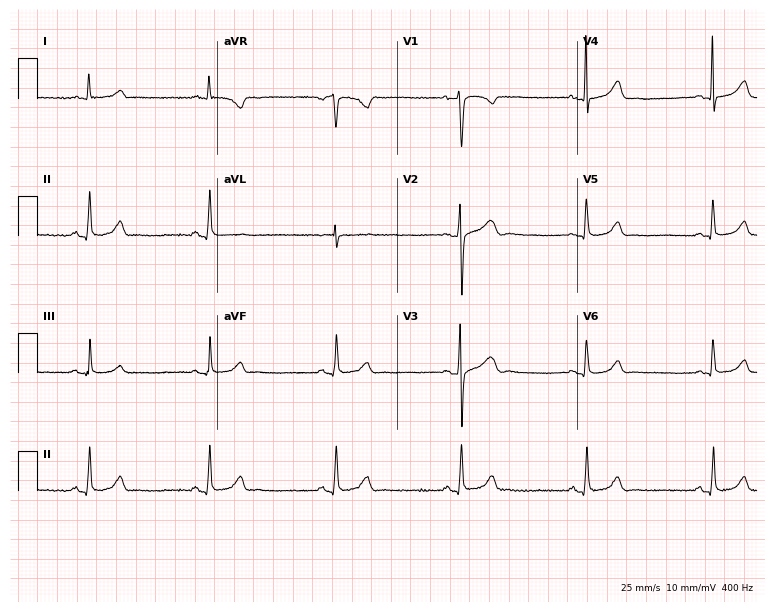
12-lead ECG (7.3-second recording at 400 Hz) from a woman, 30 years old. Findings include sinus bradycardia (a sinus rate of 50 beats per minute or less).